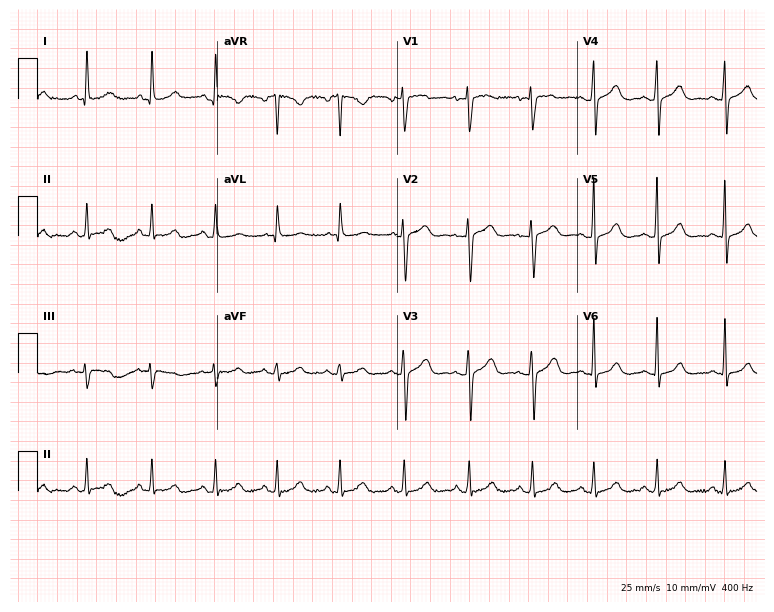
Resting 12-lead electrocardiogram (7.3-second recording at 400 Hz). Patient: a 32-year-old woman. None of these six findings is recorded: first-degree AV block, right bundle branch block, left bundle branch block, sinus bradycardia, atrial fibrillation, sinus tachycardia. Only these six findings were labelled.